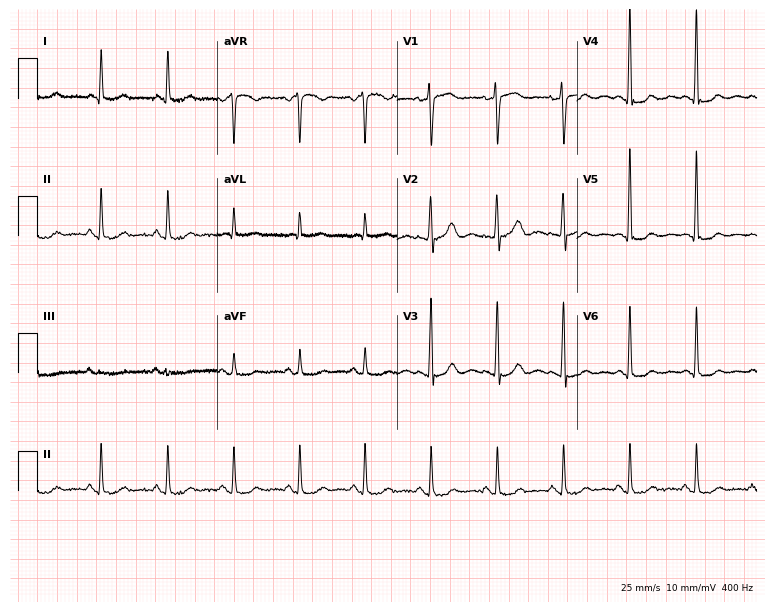
Electrocardiogram, a 67-year-old female patient. Overall reading on record: normal ECG.